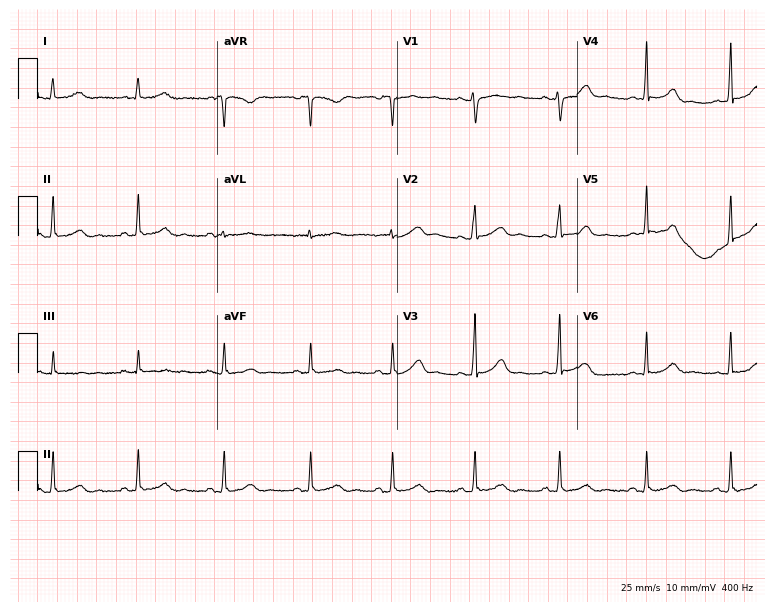
ECG (7.3-second recording at 400 Hz) — a female patient, 21 years old. Labelled as a normal ECG.